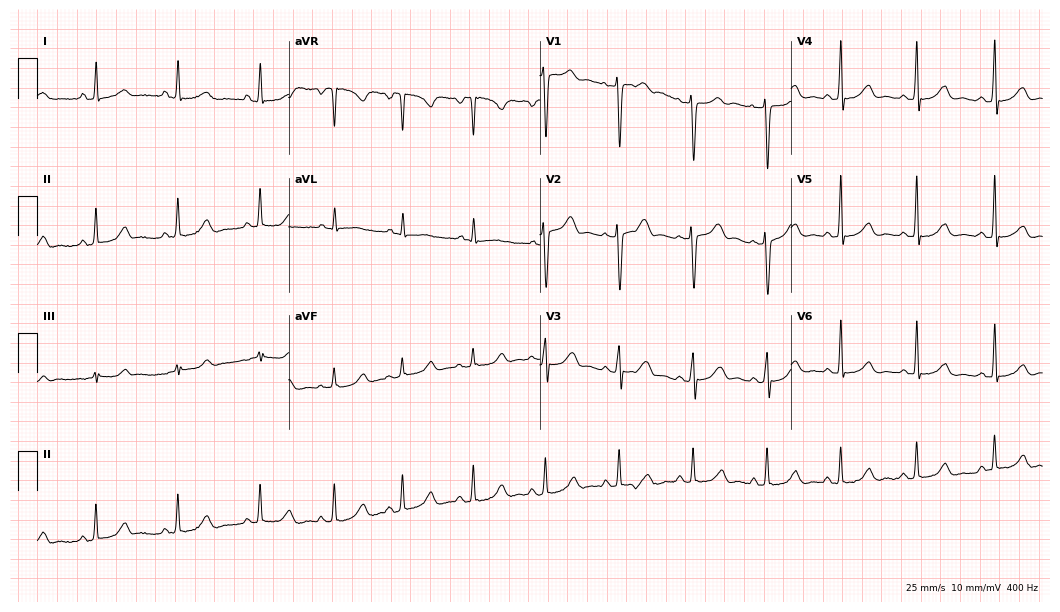
12-lead ECG from a female, 29 years old (10.2-second recording at 400 Hz). Recorded interpretation: within normal limits.